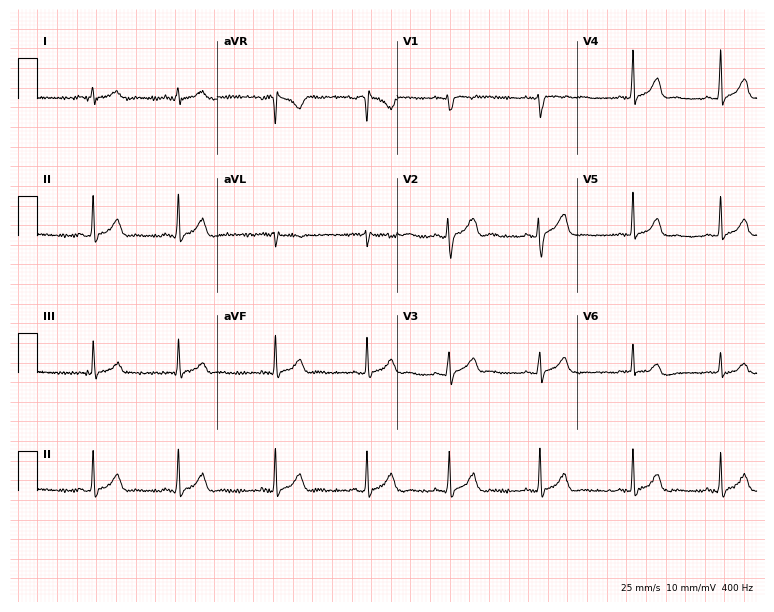
ECG — a woman, 23 years old. Screened for six findings — first-degree AV block, right bundle branch block (RBBB), left bundle branch block (LBBB), sinus bradycardia, atrial fibrillation (AF), sinus tachycardia — none is recorded. Findings outside these six are not listed.